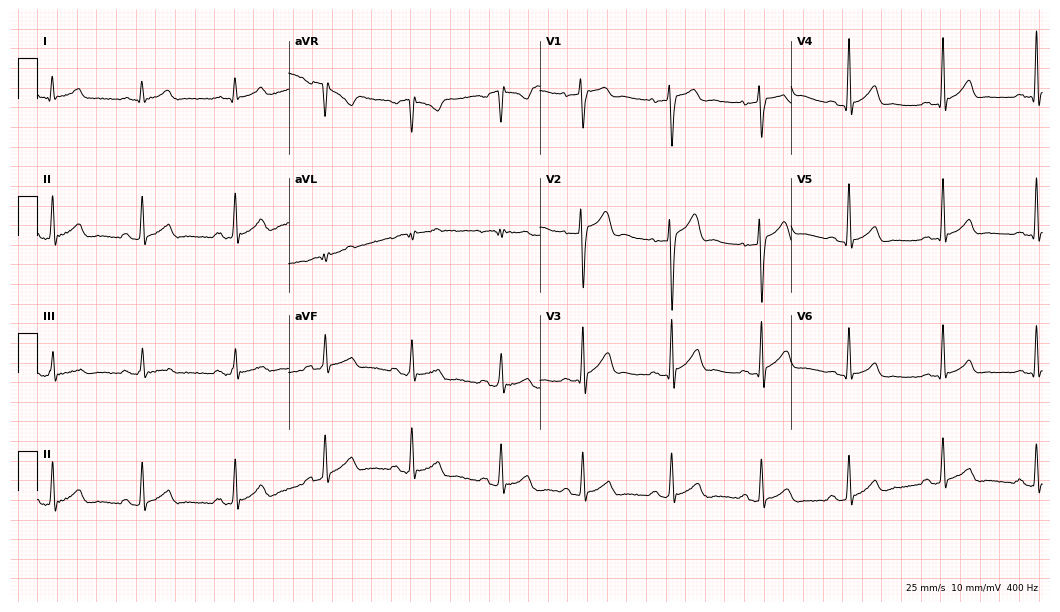
ECG (10.2-second recording at 400 Hz) — a 29-year-old male. Labelled as a normal ECG.